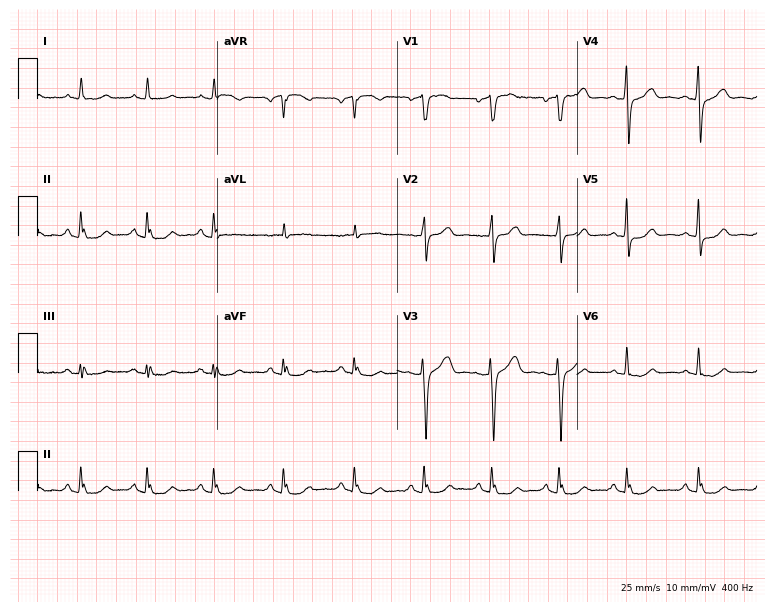
12-lead ECG from a 51-year-old female patient. No first-degree AV block, right bundle branch block, left bundle branch block, sinus bradycardia, atrial fibrillation or sinus tachycardia recorded for this tracing. Only these six findings were labelled.